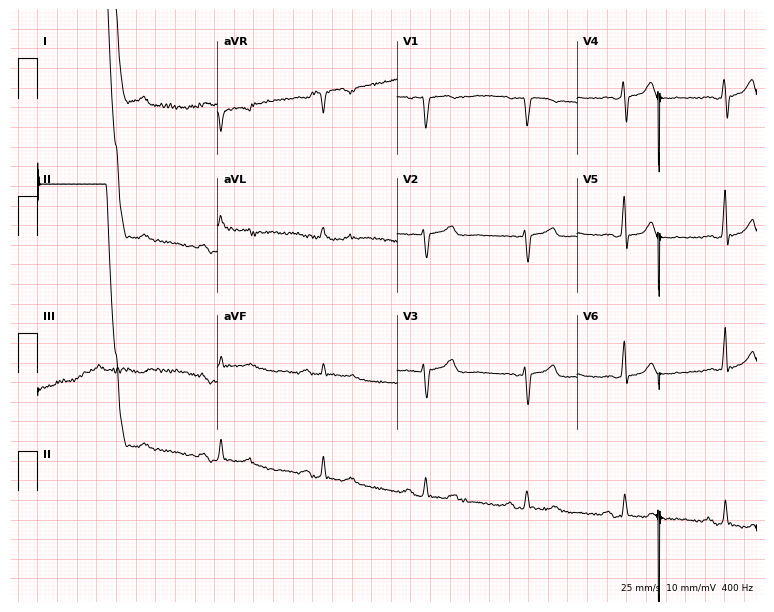
ECG (7.3-second recording at 400 Hz) — a 76-year-old male. Screened for six findings — first-degree AV block, right bundle branch block, left bundle branch block, sinus bradycardia, atrial fibrillation, sinus tachycardia — none is recorded.